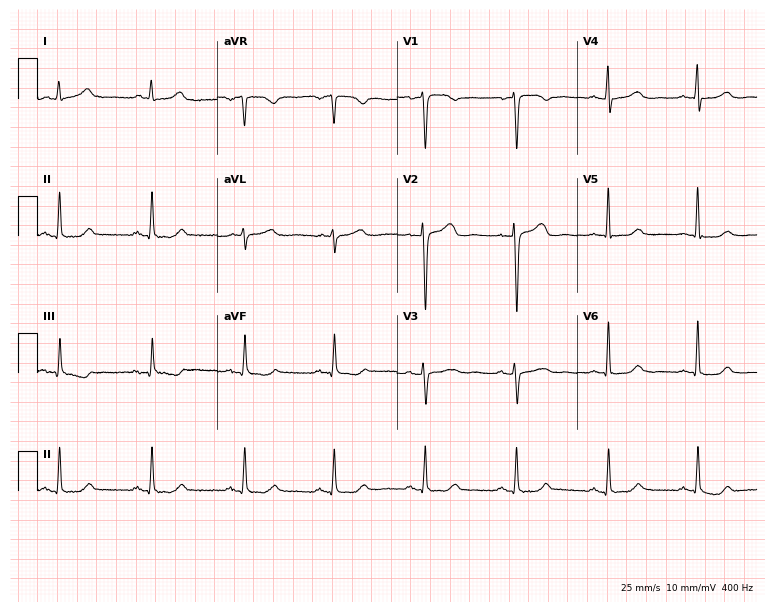
12-lead ECG from a 53-year-old female patient. Recorded interpretation: within normal limits.